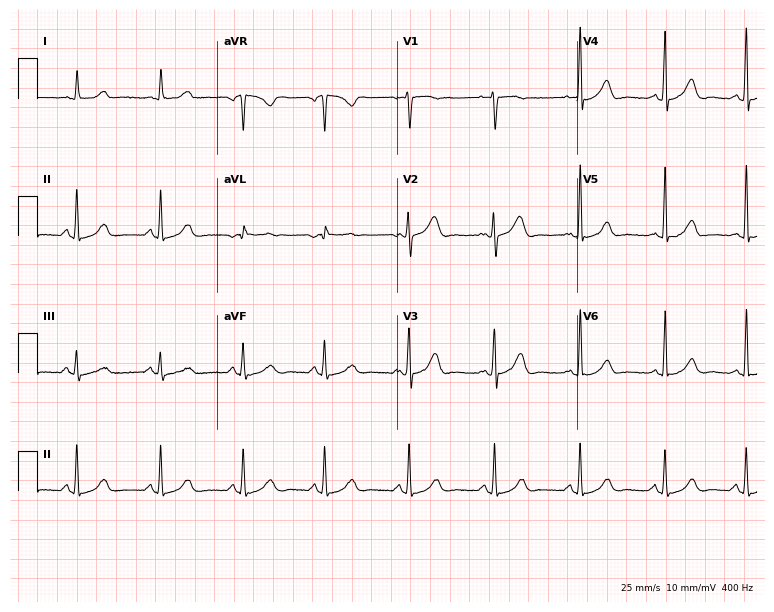
Resting 12-lead electrocardiogram. Patient: a female, 42 years old. Read as a normal ECG.